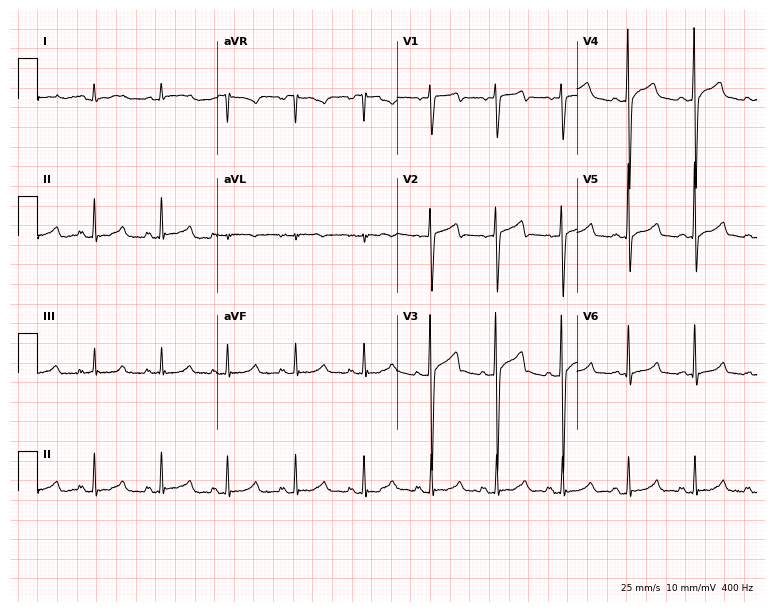
12-lead ECG (7.3-second recording at 400 Hz) from a male, 39 years old. Screened for six findings — first-degree AV block, right bundle branch block, left bundle branch block, sinus bradycardia, atrial fibrillation, sinus tachycardia — none is recorded. Only these six findings were labelled.